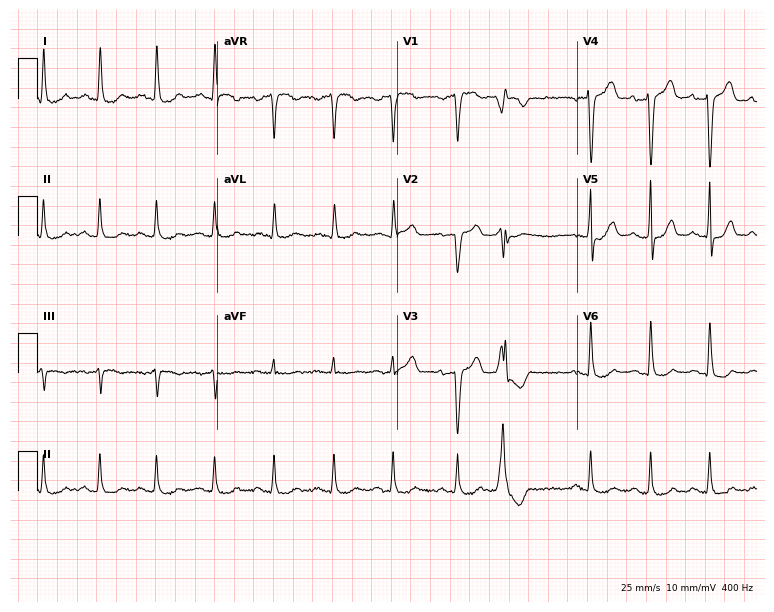
Resting 12-lead electrocardiogram (7.3-second recording at 400 Hz). Patient: a 52-year-old woman. None of these six findings is recorded: first-degree AV block, right bundle branch block (RBBB), left bundle branch block (LBBB), sinus bradycardia, atrial fibrillation (AF), sinus tachycardia. Findings outside these six are not listed.